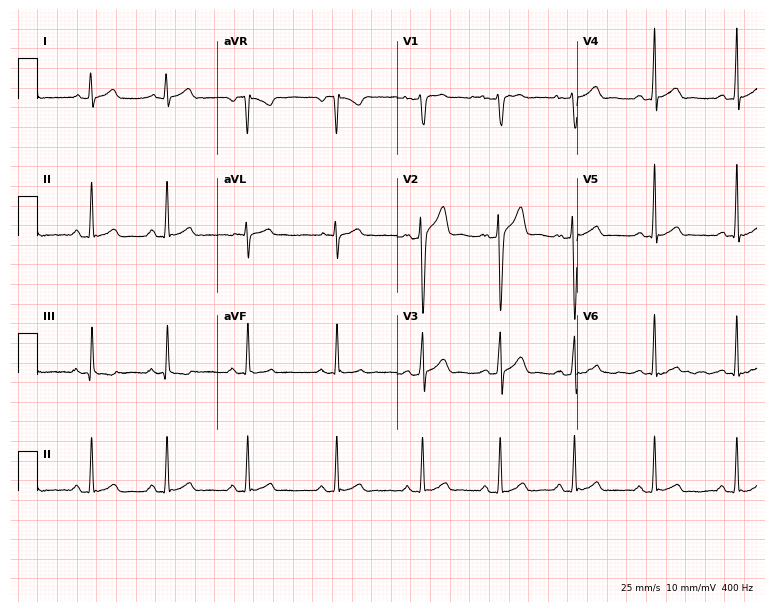
12-lead ECG from a male, 20 years old. Labelled as a normal ECG.